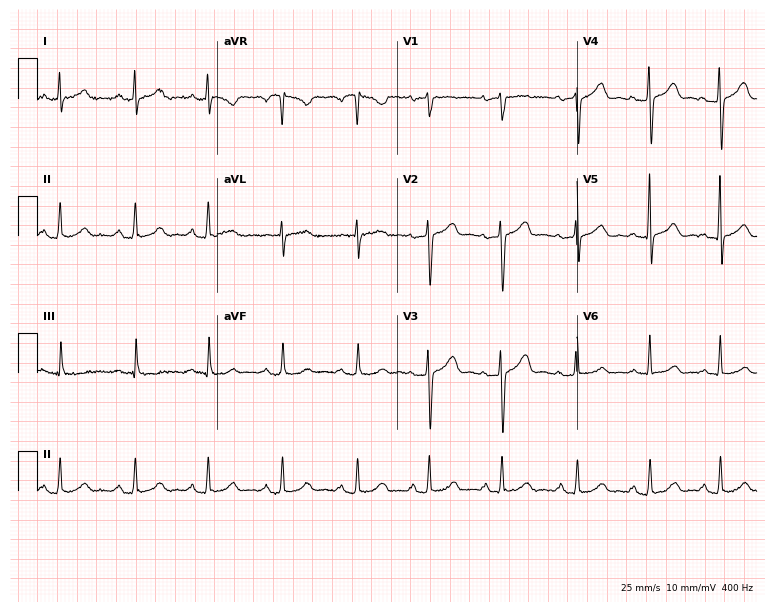
Electrocardiogram (7.3-second recording at 400 Hz), a 32-year-old female. Of the six screened findings (first-degree AV block, right bundle branch block, left bundle branch block, sinus bradycardia, atrial fibrillation, sinus tachycardia), none is recorded. Only these six findings were labelled.